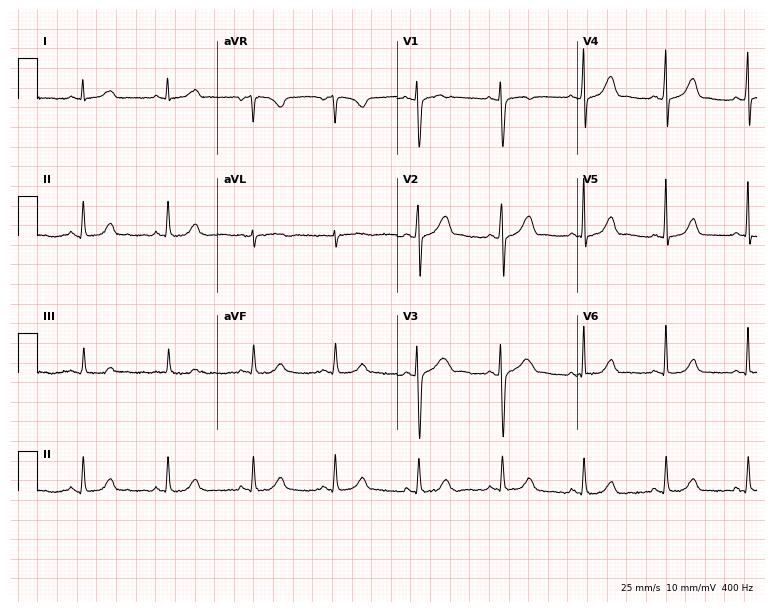
Electrocardiogram, a 32-year-old woman. Overall reading on record: normal ECG.